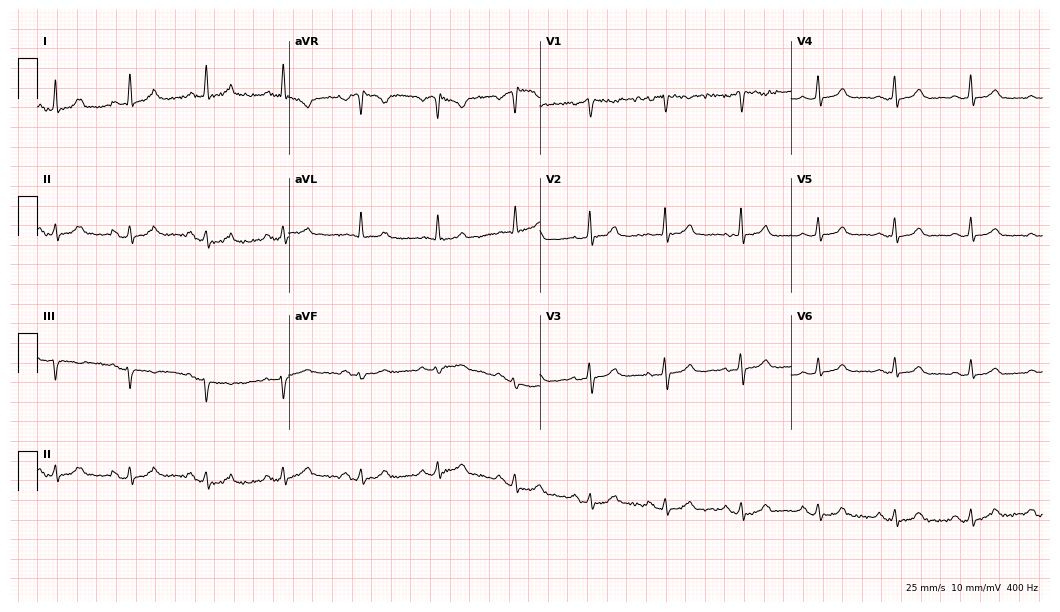
Resting 12-lead electrocardiogram. Patient: a 65-year-old female. Read as a normal ECG.